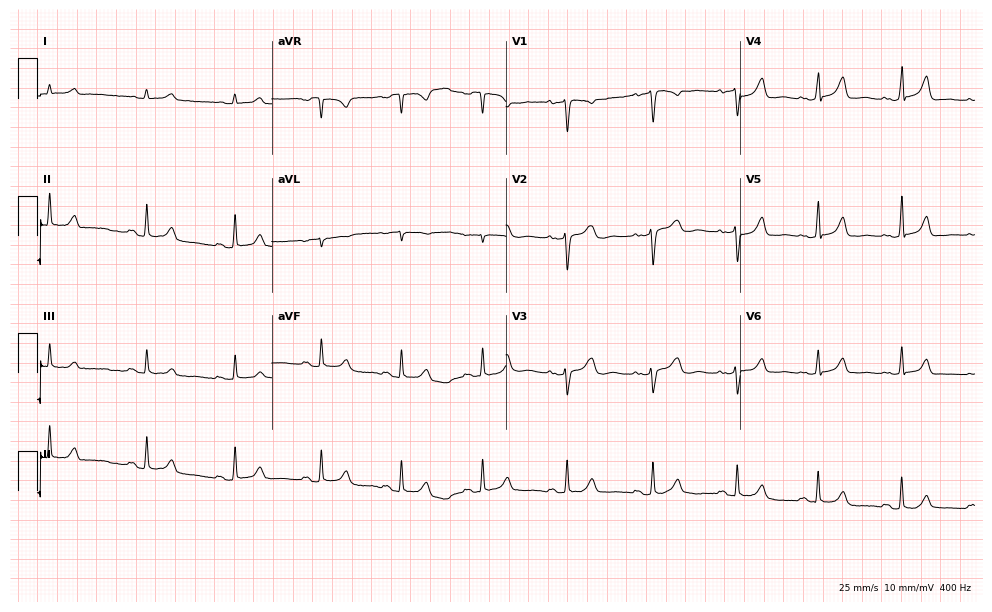
12-lead ECG from a 45-year-old female. Labelled as a normal ECG.